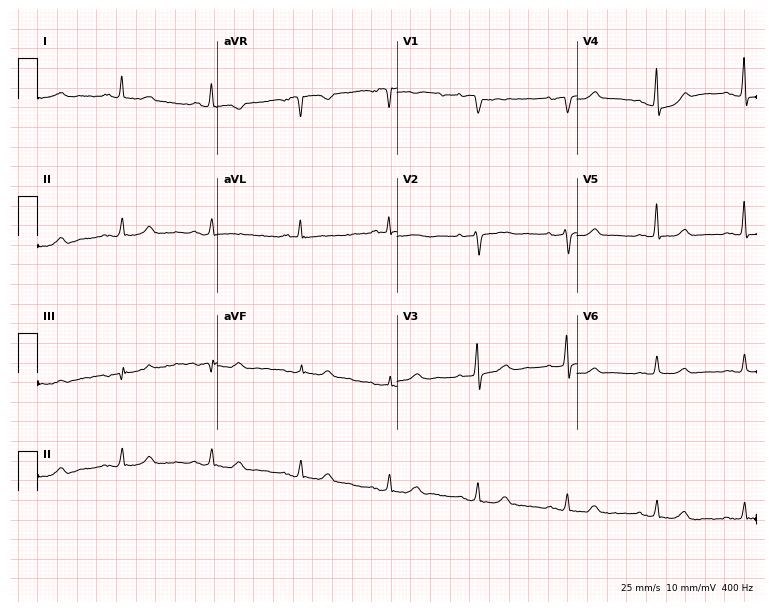
12-lead ECG from a woman, 69 years old (7.3-second recording at 400 Hz). No first-degree AV block, right bundle branch block (RBBB), left bundle branch block (LBBB), sinus bradycardia, atrial fibrillation (AF) or sinus tachycardia recorded for this tracing.